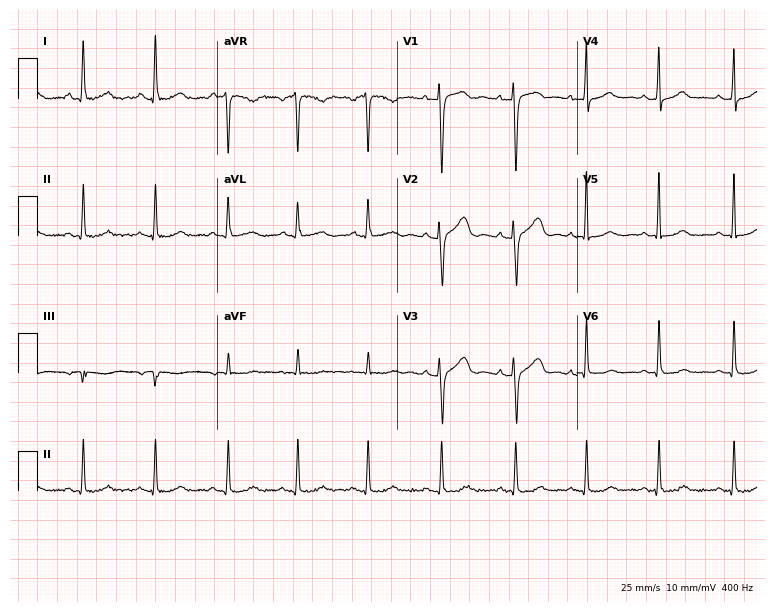
12-lead ECG from a 37-year-old female patient (7.3-second recording at 400 Hz). Recorded interpretation: within normal limits.